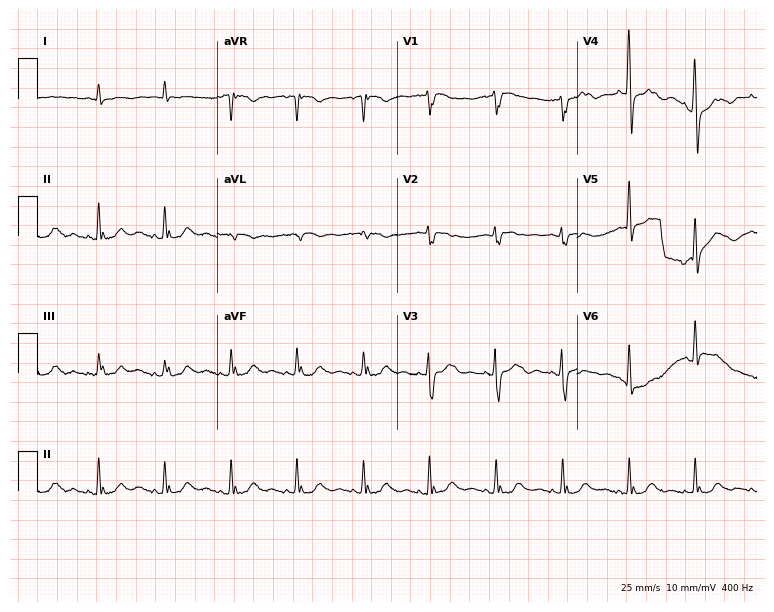
12-lead ECG from a male, 74 years old. No first-degree AV block, right bundle branch block, left bundle branch block, sinus bradycardia, atrial fibrillation or sinus tachycardia recorded for this tracing.